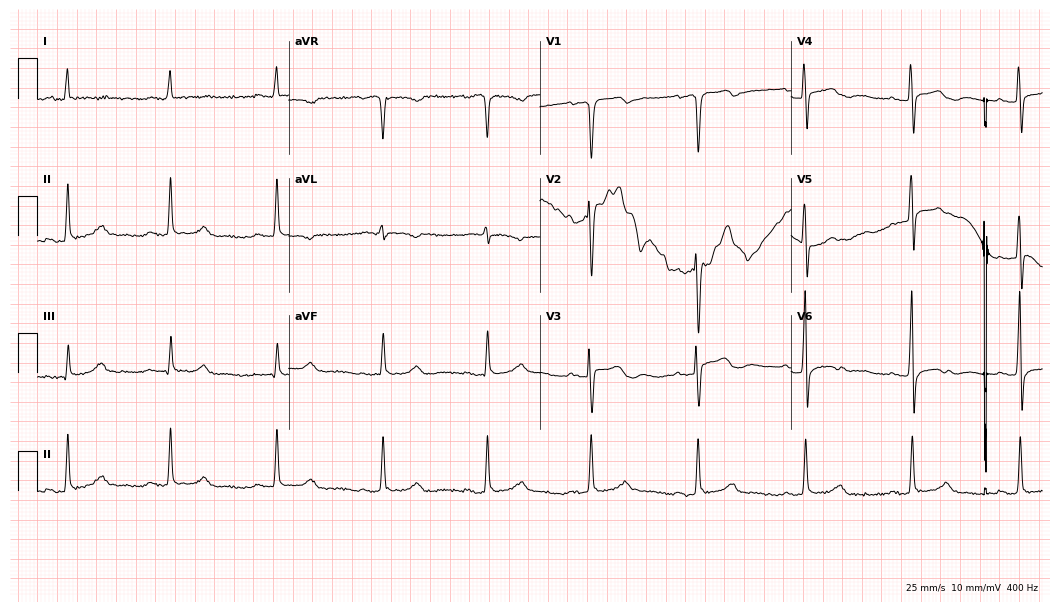
12-lead ECG from a male patient, 74 years old. No first-degree AV block, right bundle branch block, left bundle branch block, sinus bradycardia, atrial fibrillation or sinus tachycardia recorded for this tracing. Findings outside these six are not listed.